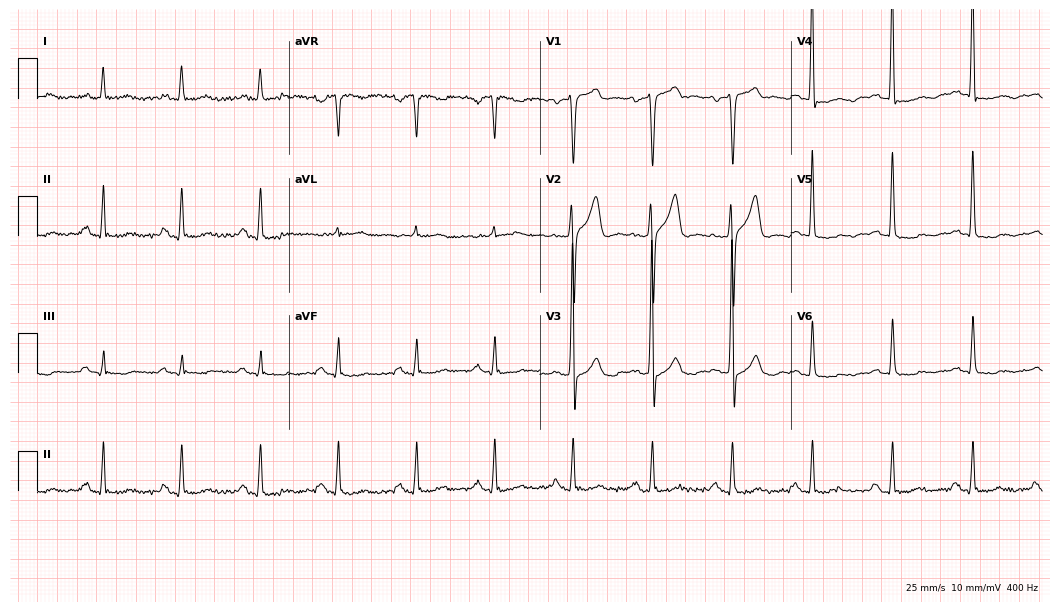
12-lead ECG from a 60-year-old male. Screened for six findings — first-degree AV block, right bundle branch block, left bundle branch block, sinus bradycardia, atrial fibrillation, sinus tachycardia — none is recorded. Only these six findings were labelled.